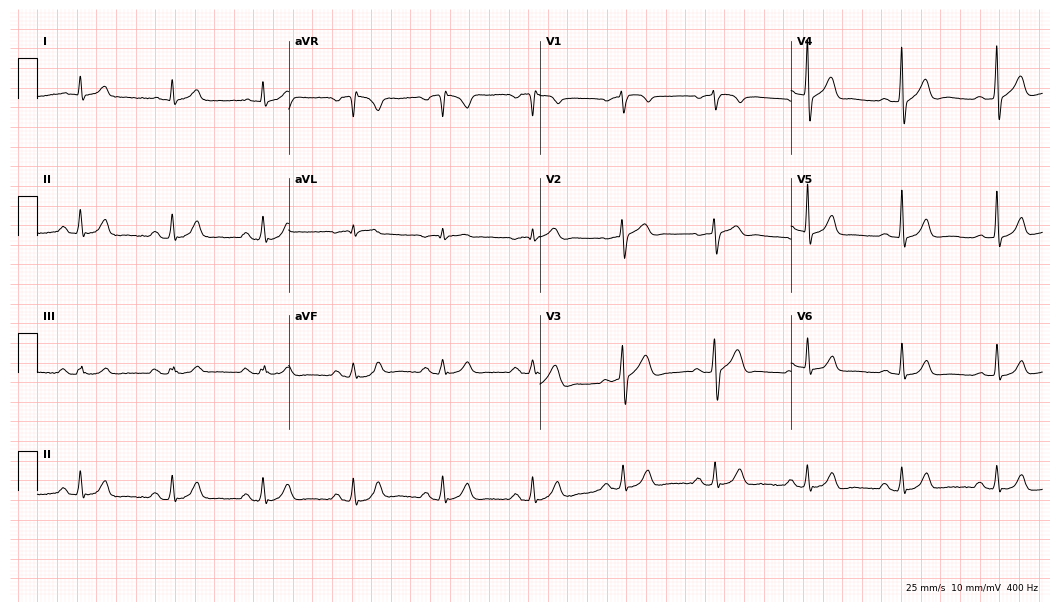
ECG (10.2-second recording at 400 Hz) — a 66-year-old male patient. Labelled as a normal ECG.